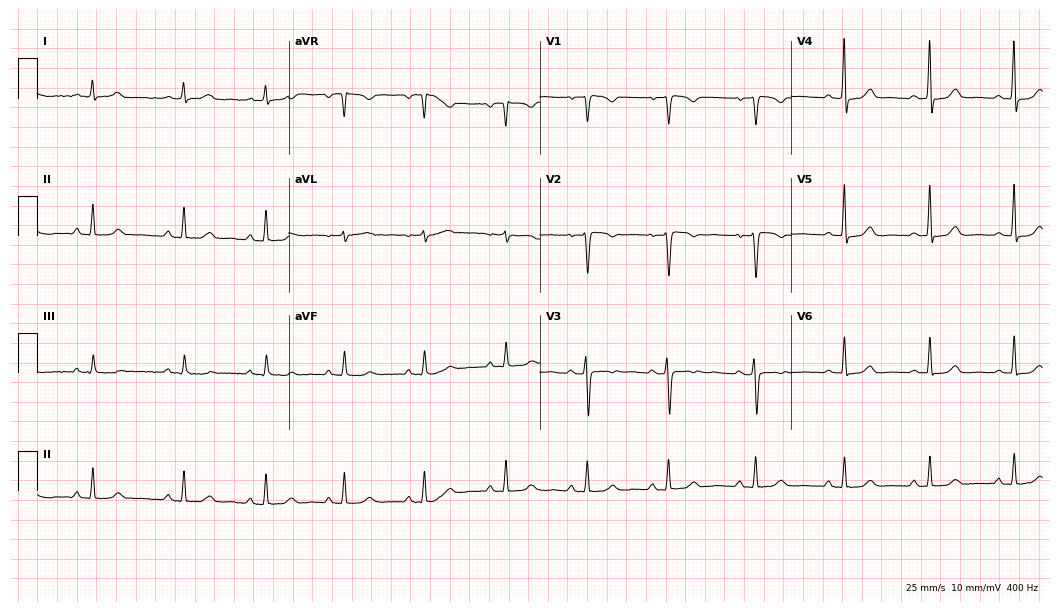
12-lead ECG from a female, 45 years old. Screened for six findings — first-degree AV block, right bundle branch block, left bundle branch block, sinus bradycardia, atrial fibrillation, sinus tachycardia — none is recorded.